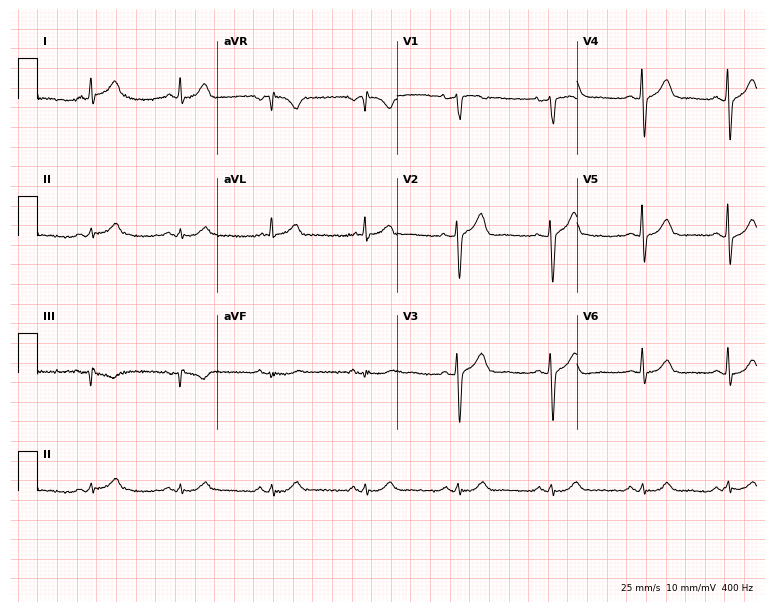
ECG (7.3-second recording at 400 Hz) — a male, 65 years old. Labelled as a normal ECG.